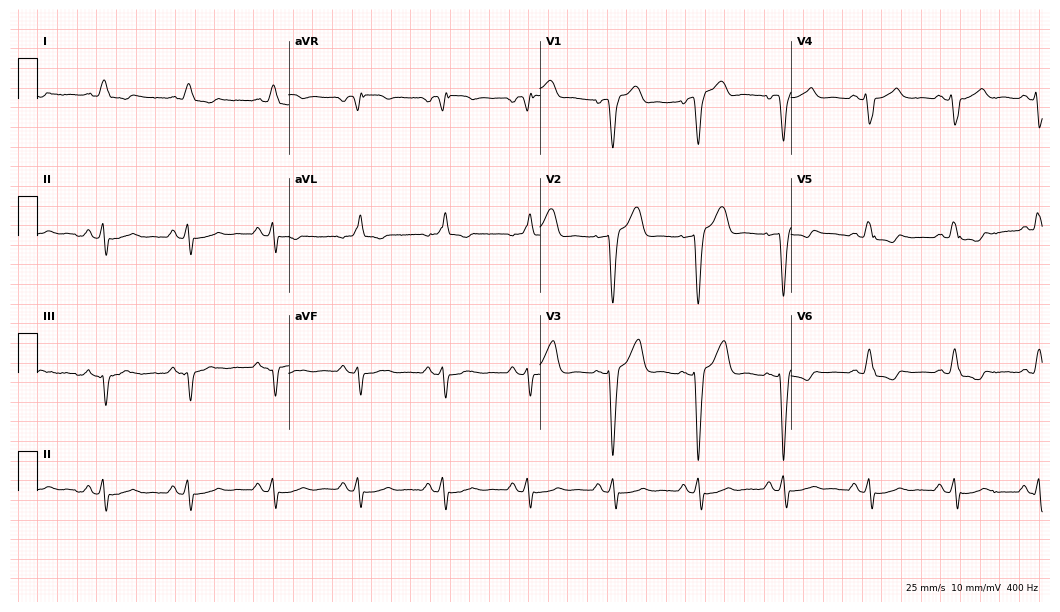
Electrocardiogram, a 76-year-old man. Of the six screened findings (first-degree AV block, right bundle branch block (RBBB), left bundle branch block (LBBB), sinus bradycardia, atrial fibrillation (AF), sinus tachycardia), none is recorded.